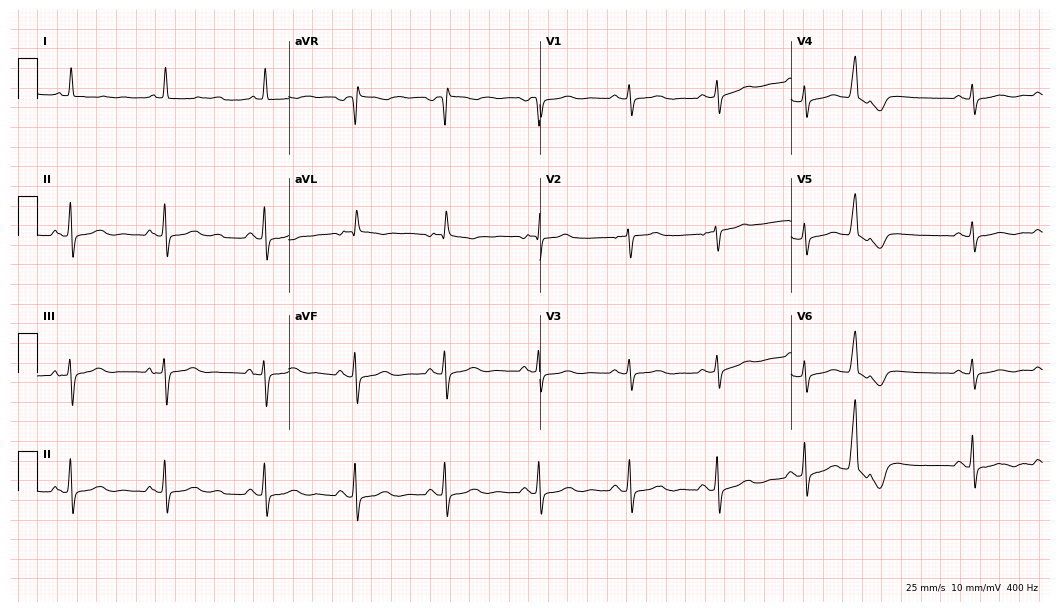
12-lead ECG (10.2-second recording at 400 Hz) from a female, 82 years old. Screened for six findings — first-degree AV block, right bundle branch block, left bundle branch block, sinus bradycardia, atrial fibrillation, sinus tachycardia — none is recorded. Other findings, if any, are not listed.